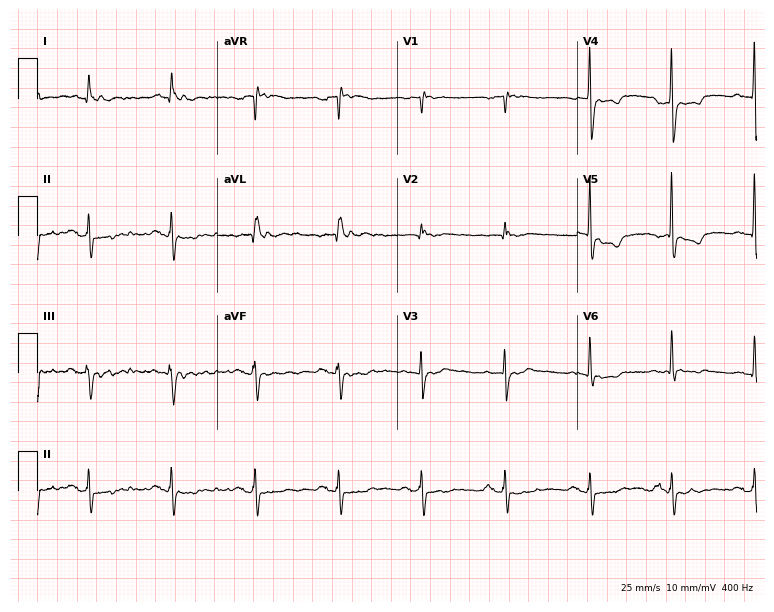
12-lead ECG from an 81-year-old male (7.3-second recording at 400 Hz). Recorded interpretation: within normal limits.